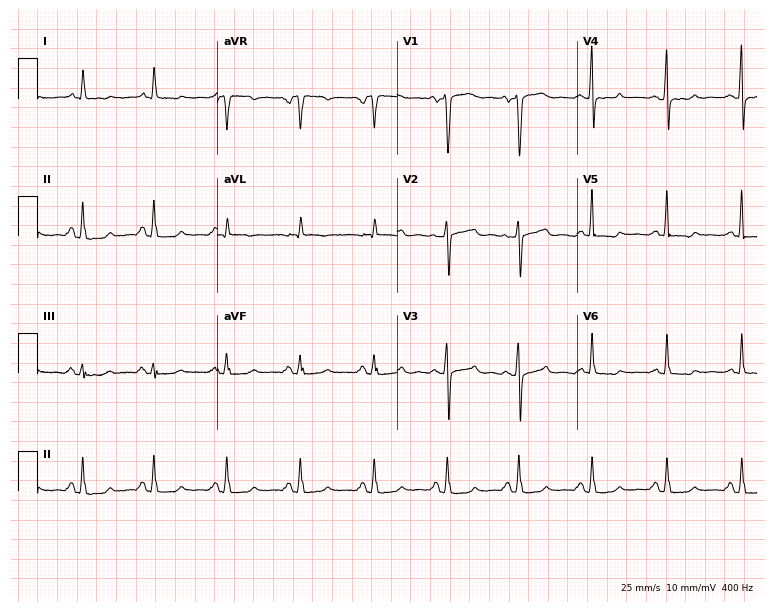
Resting 12-lead electrocardiogram. Patient: a female, 59 years old. None of these six findings is recorded: first-degree AV block, right bundle branch block, left bundle branch block, sinus bradycardia, atrial fibrillation, sinus tachycardia.